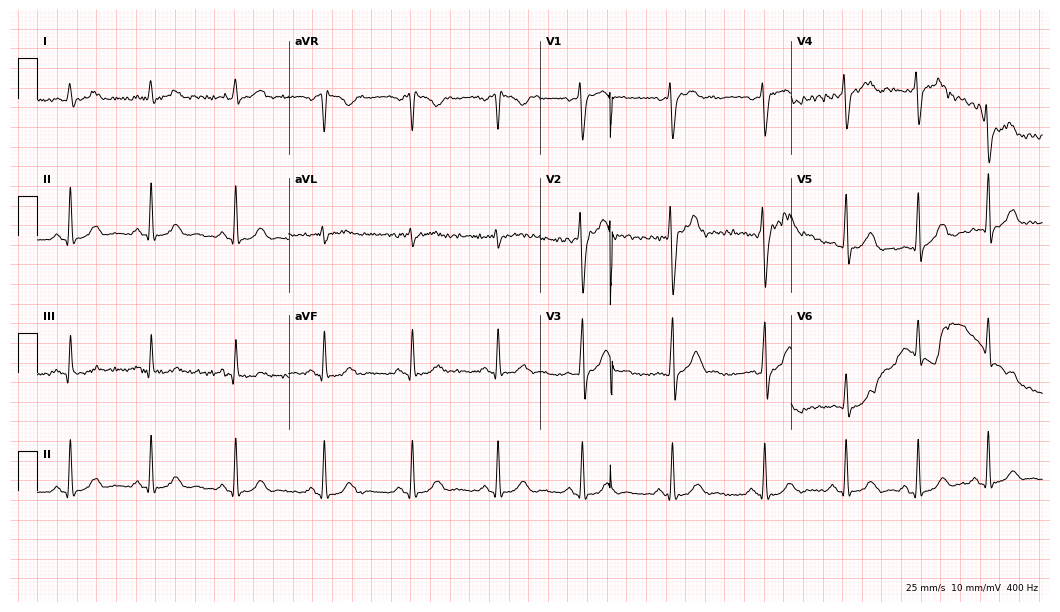
12-lead ECG from a 27-year-old male patient. Recorded interpretation: within normal limits.